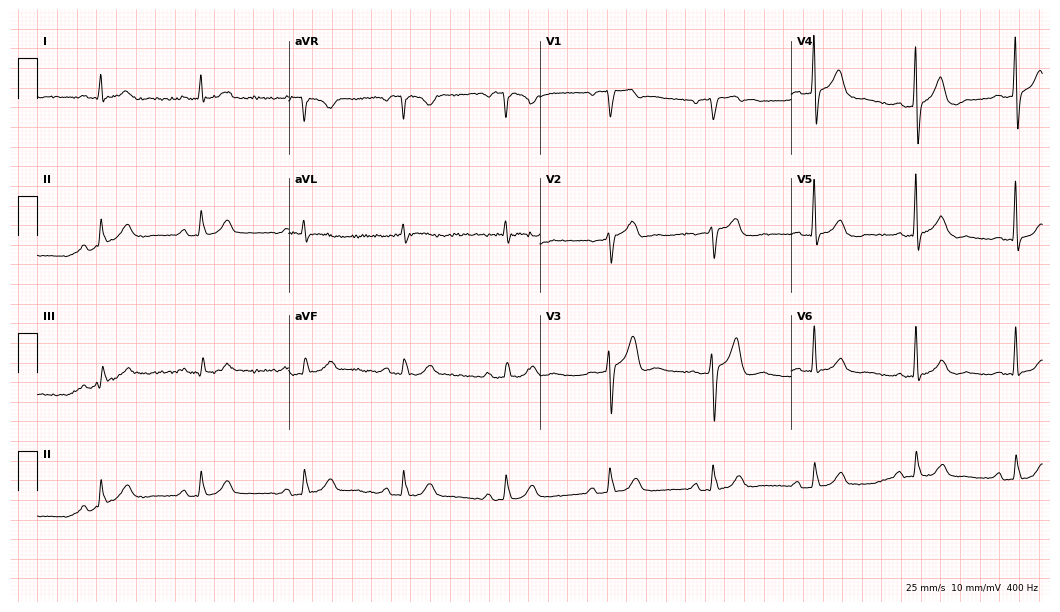
Resting 12-lead electrocardiogram. Patient: a male, 65 years old. Read as a normal ECG.